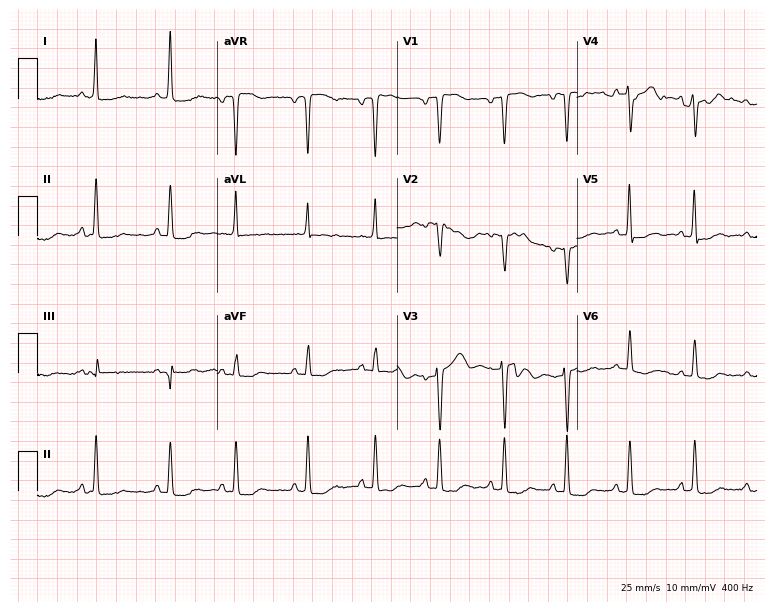
Resting 12-lead electrocardiogram. Patient: a 69-year-old woman. None of these six findings is recorded: first-degree AV block, right bundle branch block, left bundle branch block, sinus bradycardia, atrial fibrillation, sinus tachycardia. Findings outside these six are not listed.